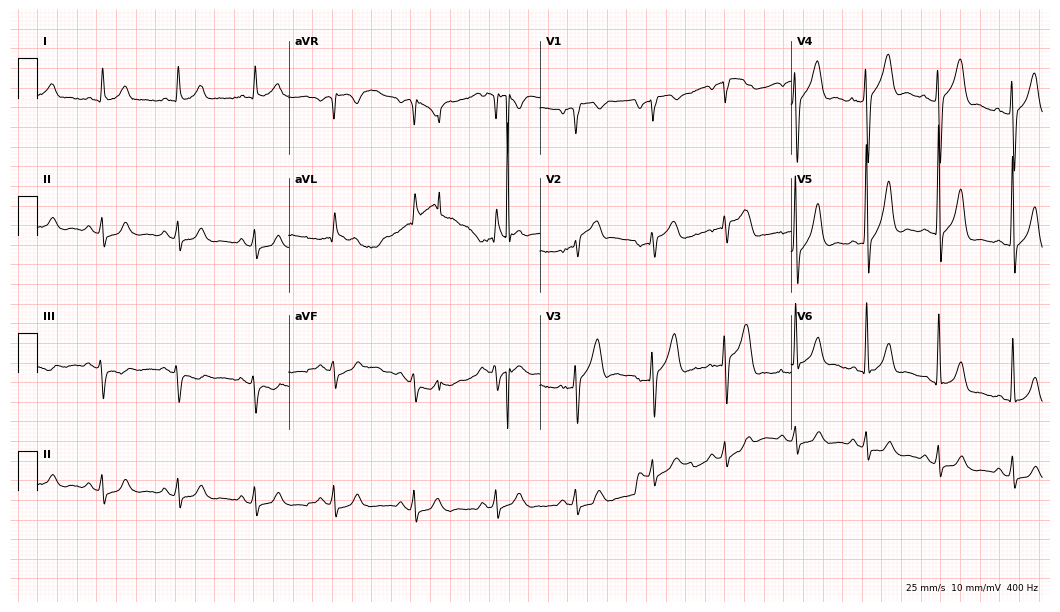
Standard 12-lead ECG recorded from a male patient, 64 years old. None of these six findings is recorded: first-degree AV block, right bundle branch block, left bundle branch block, sinus bradycardia, atrial fibrillation, sinus tachycardia. Only these six findings were labelled.